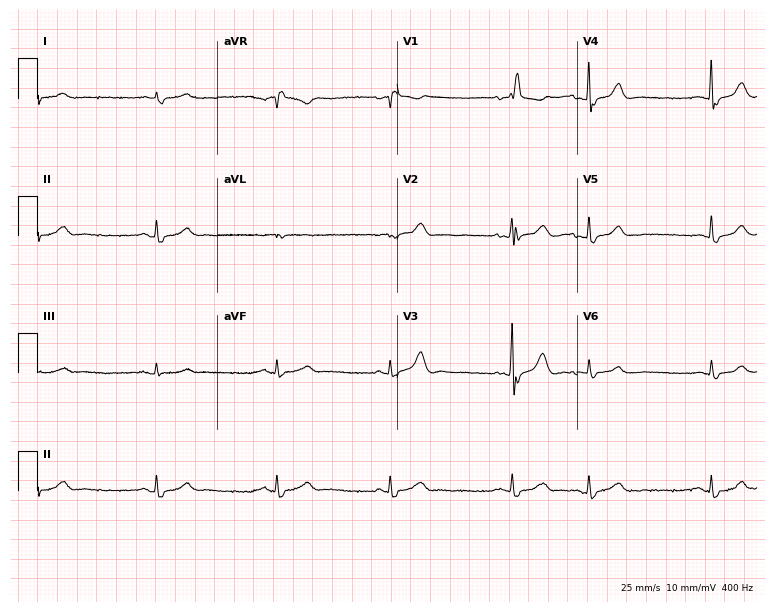
12-lead ECG (7.3-second recording at 400 Hz) from an 85-year-old male. Screened for six findings — first-degree AV block, right bundle branch block, left bundle branch block, sinus bradycardia, atrial fibrillation, sinus tachycardia — none is recorded. Other findings, if any, are not listed.